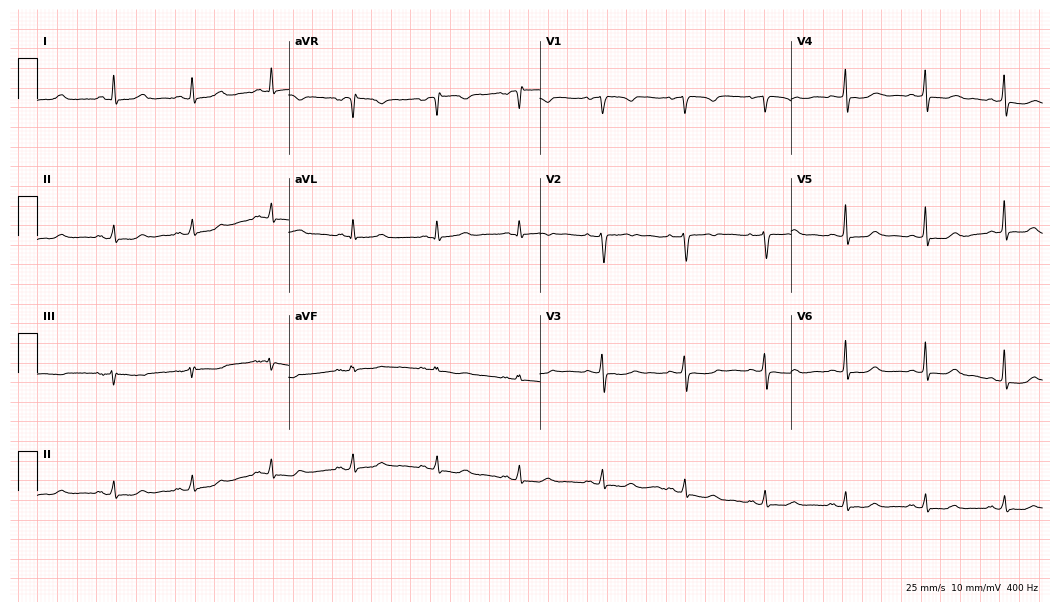
Standard 12-lead ECG recorded from a female patient, 55 years old. None of these six findings is recorded: first-degree AV block, right bundle branch block, left bundle branch block, sinus bradycardia, atrial fibrillation, sinus tachycardia.